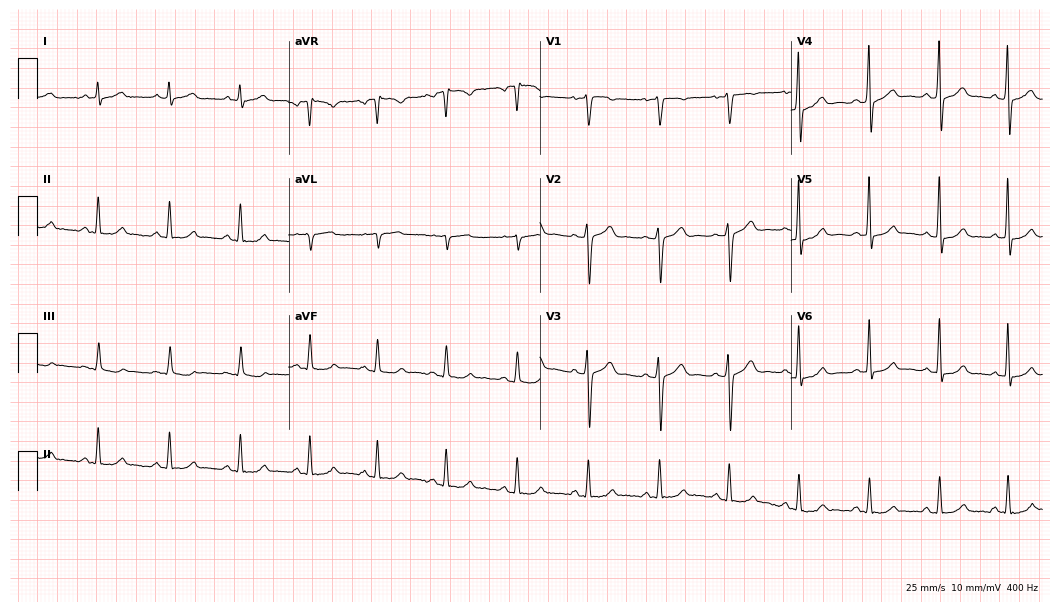
Resting 12-lead electrocardiogram. Patient: a male, 44 years old. Read as a normal ECG.